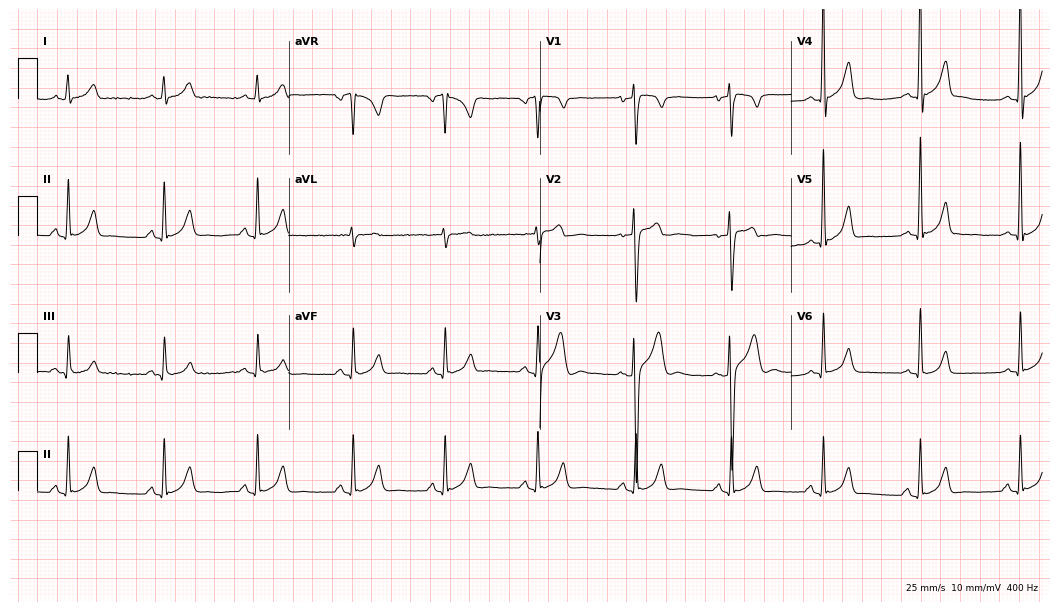
12-lead ECG from a male, 17 years old. Recorded interpretation: within normal limits.